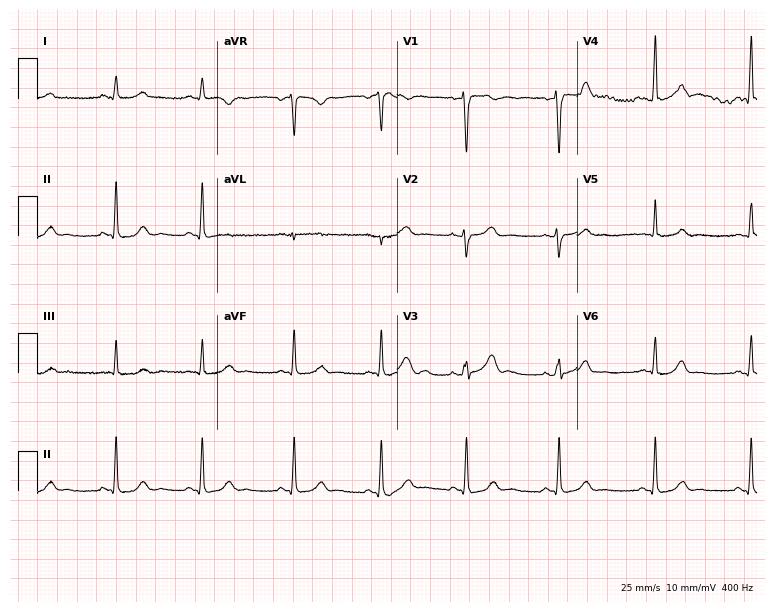
12-lead ECG from a 46-year-old woman. Recorded interpretation: within normal limits.